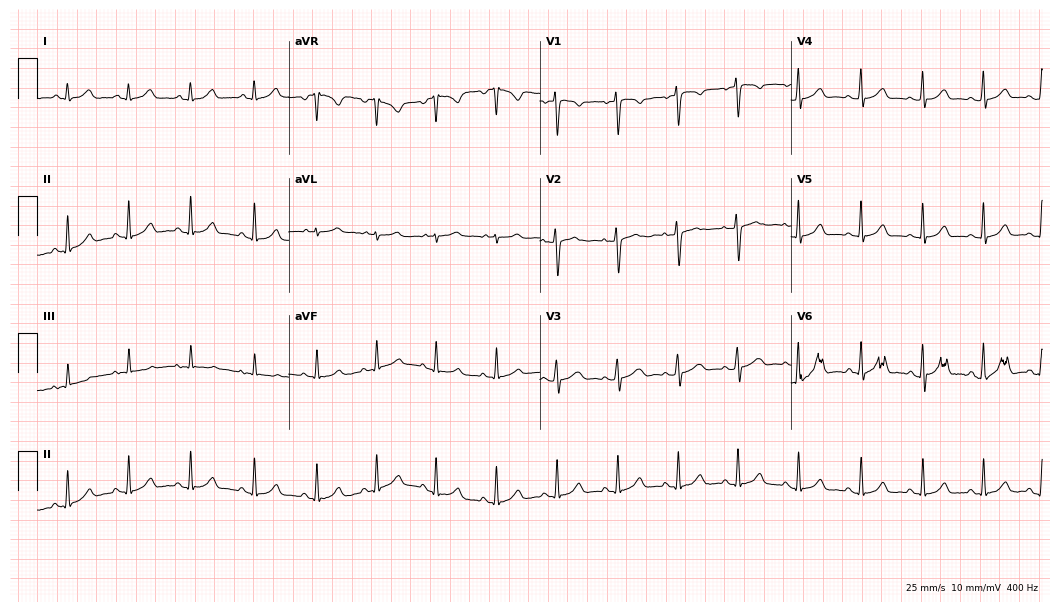
12-lead ECG from a woman, 25 years old (10.2-second recording at 400 Hz). Recorded interpretation: within normal limits.